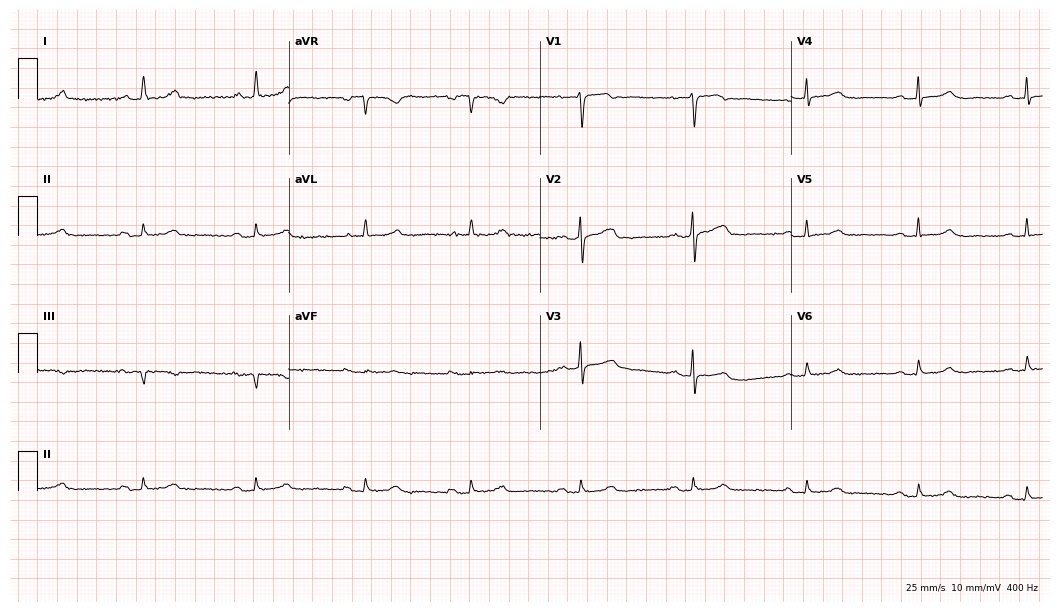
Electrocardiogram (10.2-second recording at 400 Hz), a woman, 75 years old. Interpretation includes first-degree AV block.